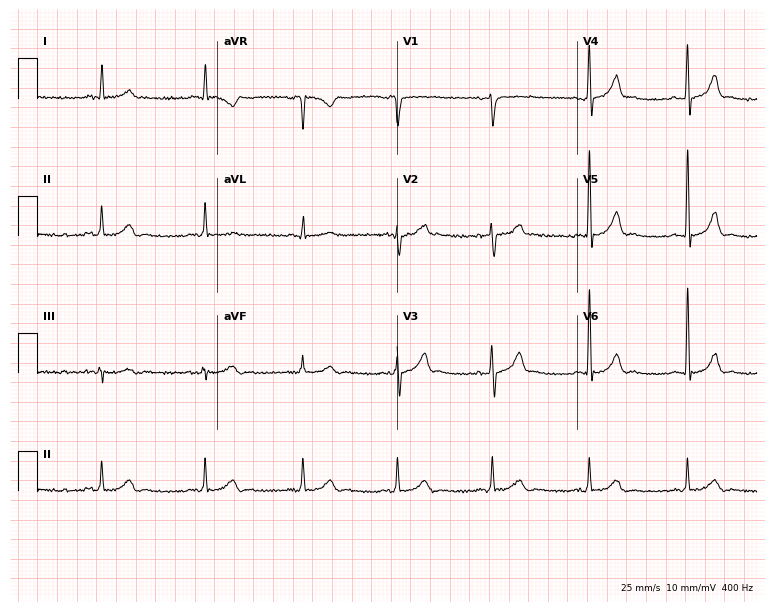
12-lead ECG from a man, 71 years old (7.3-second recording at 400 Hz). Recorded interpretation: within normal limits.